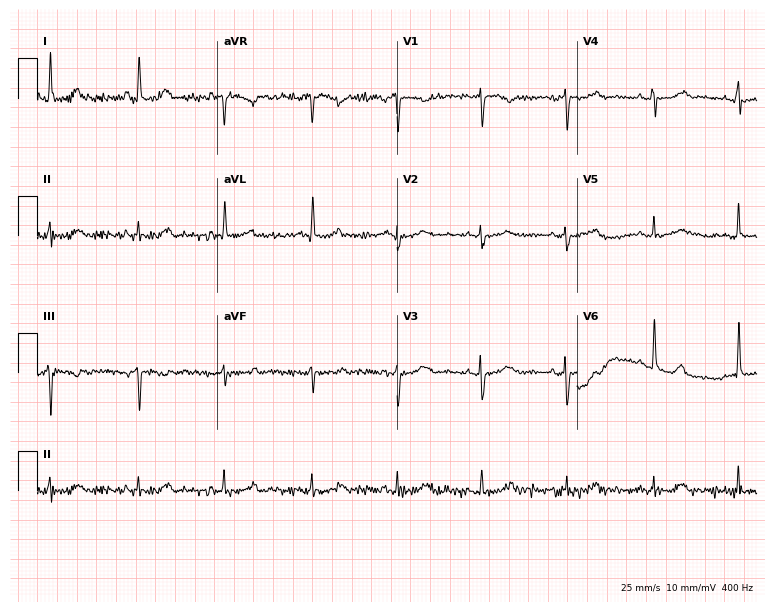
12-lead ECG from a female, 76 years old. No first-degree AV block, right bundle branch block (RBBB), left bundle branch block (LBBB), sinus bradycardia, atrial fibrillation (AF) or sinus tachycardia recorded for this tracing. Only these six findings were labelled.